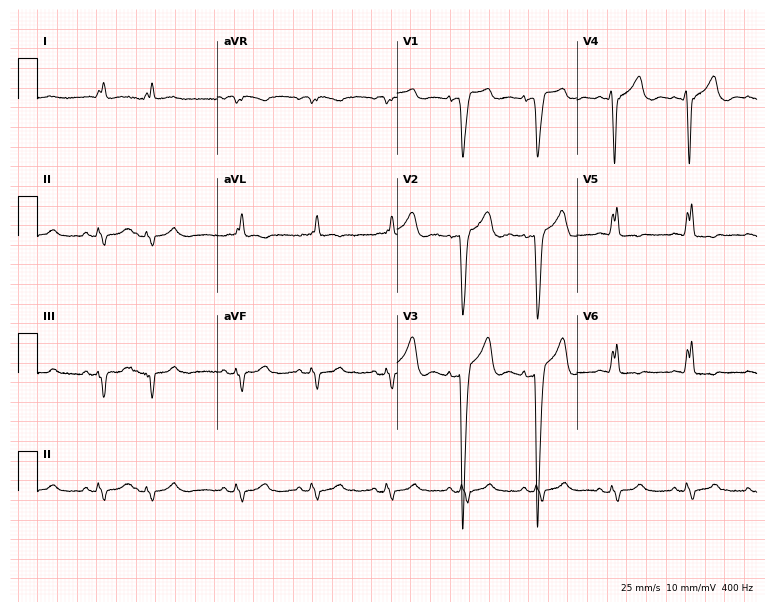
Electrocardiogram (7.3-second recording at 400 Hz), a woman, 82 years old. Interpretation includes left bundle branch block.